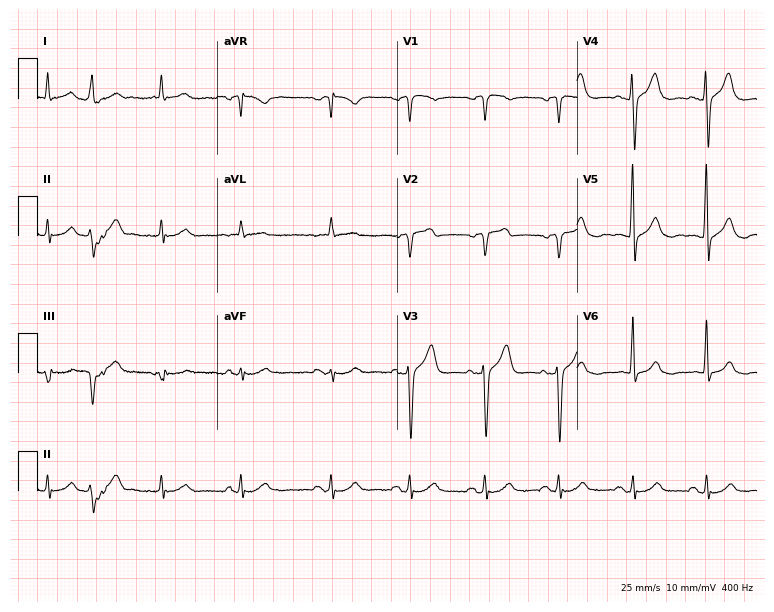
Standard 12-lead ECG recorded from a male patient, 83 years old. Read as a normal ECG.